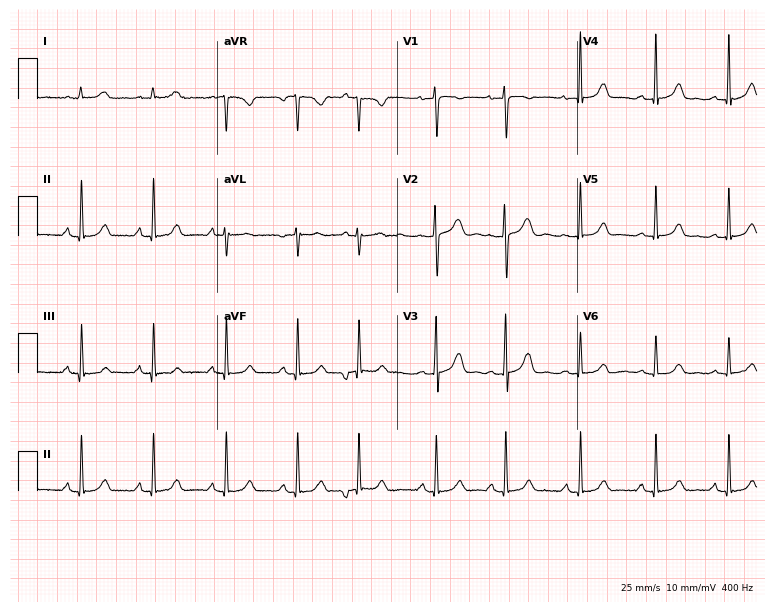
Standard 12-lead ECG recorded from a 20-year-old female (7.3-second recording at 400 Hz). None of these six findings is recorded: first-degree AV block, right bundle branch block, left bundle branch block, sinus bradycardia, atrial fibrillation, sinus tachycardia. Only these six findings were labelled.